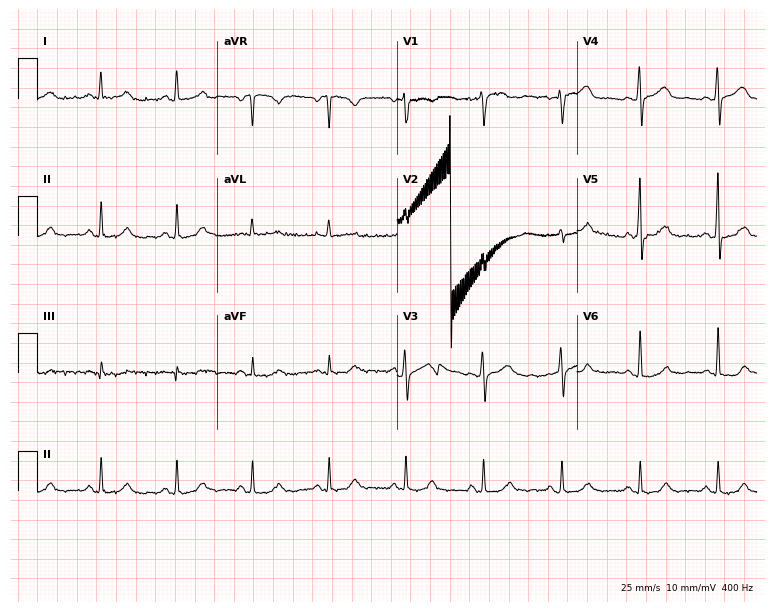
ECG (7.3-second recording at 400 Hz) — a woman, 51 years old. Screened for six findings — first-degree AV block, right bundle branch block (RBBB), left bundle branch block (LBBB), sinus bradycardia, atrial fibrillation (AF), sinus tachycardia — none is recorded.